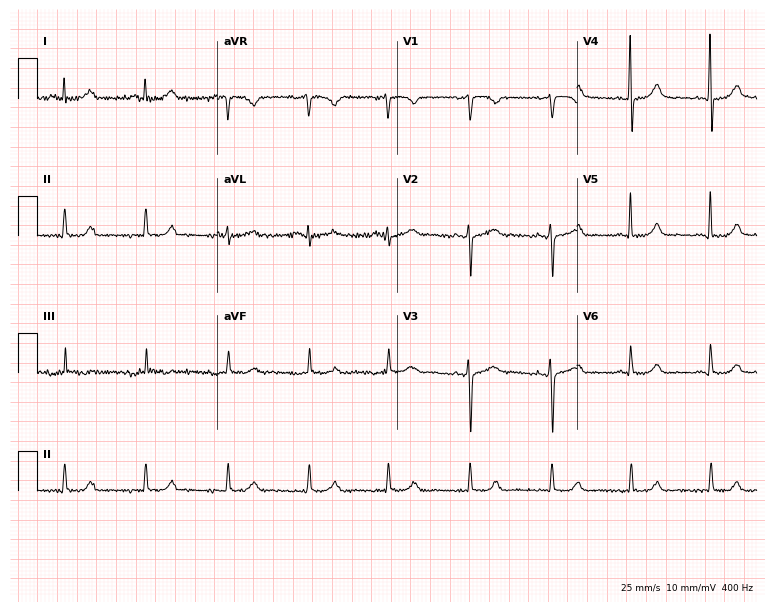
Standard 12-lead ECG recorded from a woman, 46 years old (7.3-second recording at 400 Hz). None of these six findings is recorded: first-degree AV block, right bundle branch block (RBBB), left bundle branch block (LBBB), sinus bradycardia, atrial fibrillation (AF), sinus tachycardia.